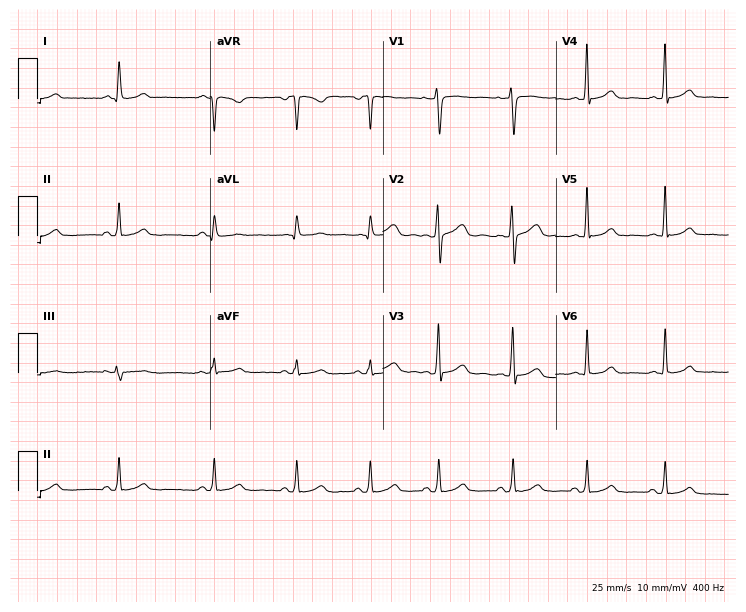
Resting 12-lead electrocardiogram. Patient: a woman, 26 years old. None of these six findings is recorded: first-degree AV block, right bundle branch block (RBBB), left bundle branch block (LBBB), sinus bradycardia, atrial fibrillation (AF), sinus tachycardia.